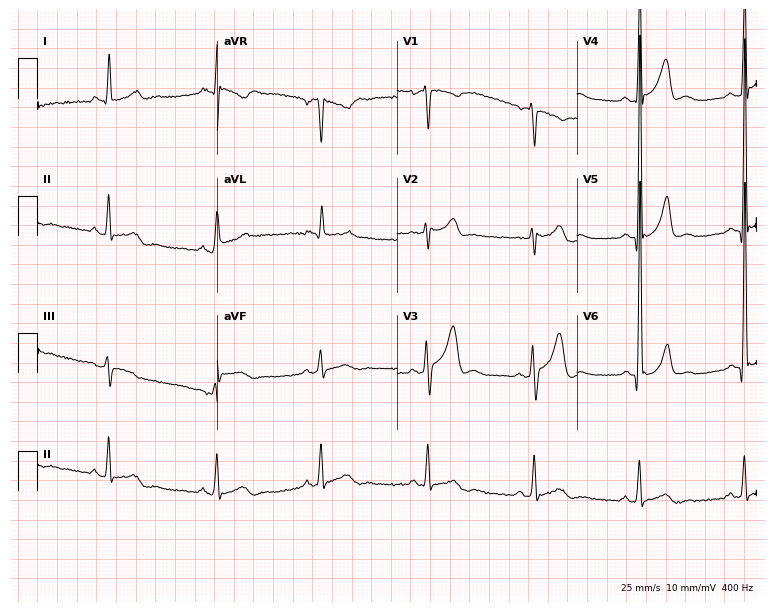
Standard 12-lead ECG recorded from a 63-year-old male (7.3-second recording at 400 Hz). None of these six findings is recorded: first-degree AV block, right bundle branch block, left bundle branch block, sinus bradycardia, atrial fibrillation, sinus tachycardia.